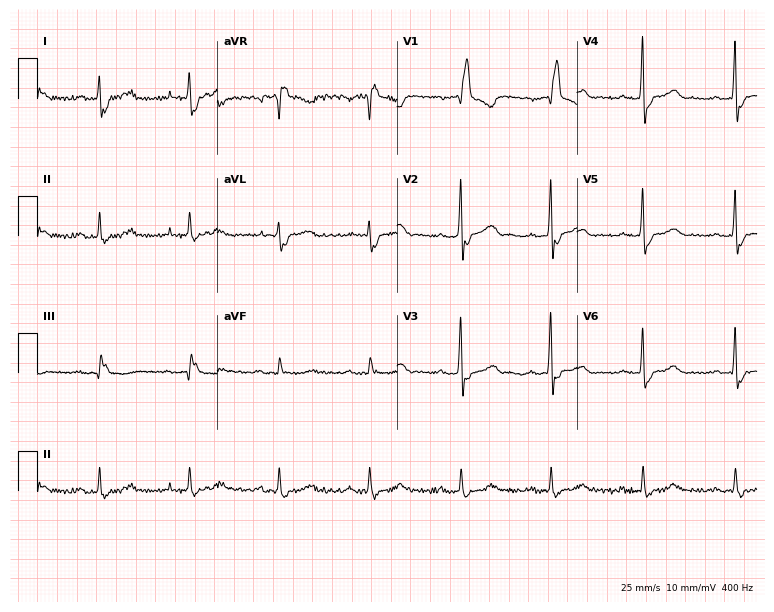
Standard 12-lead ECG recorded from a 60-year-old male. The tracing shows right bundle branch block.